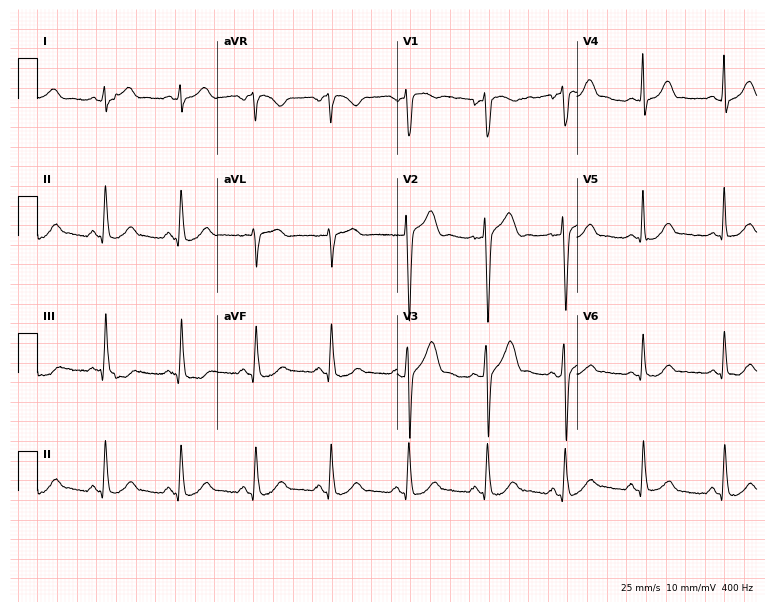
12-lead ECG from a 39-year-old male patient. Labelled as a normal ECG.